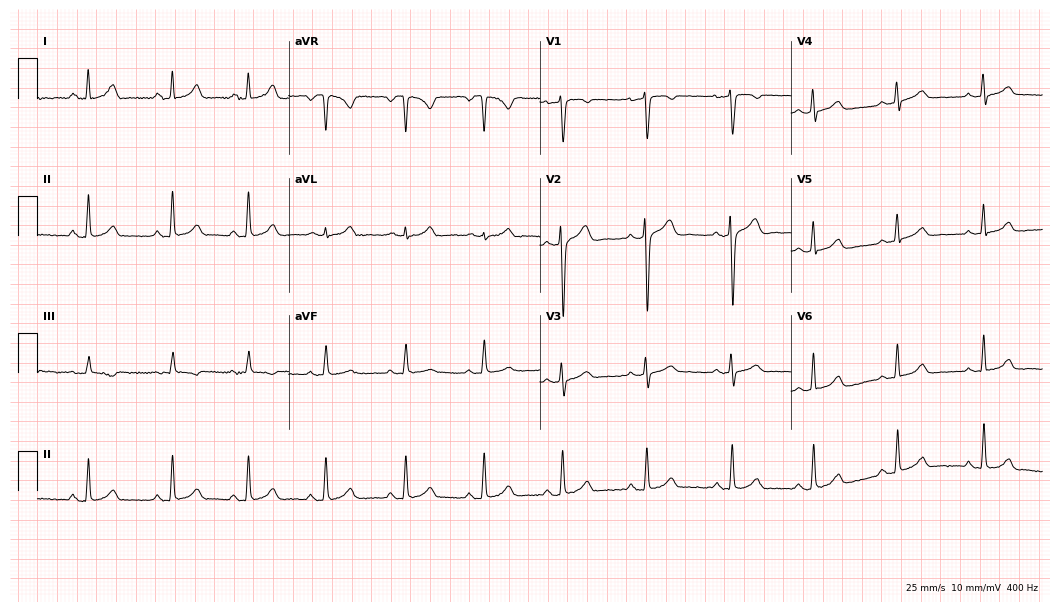
12-lead ECG from a 29-year-old woman. Recorded interpretation: within normal limits.